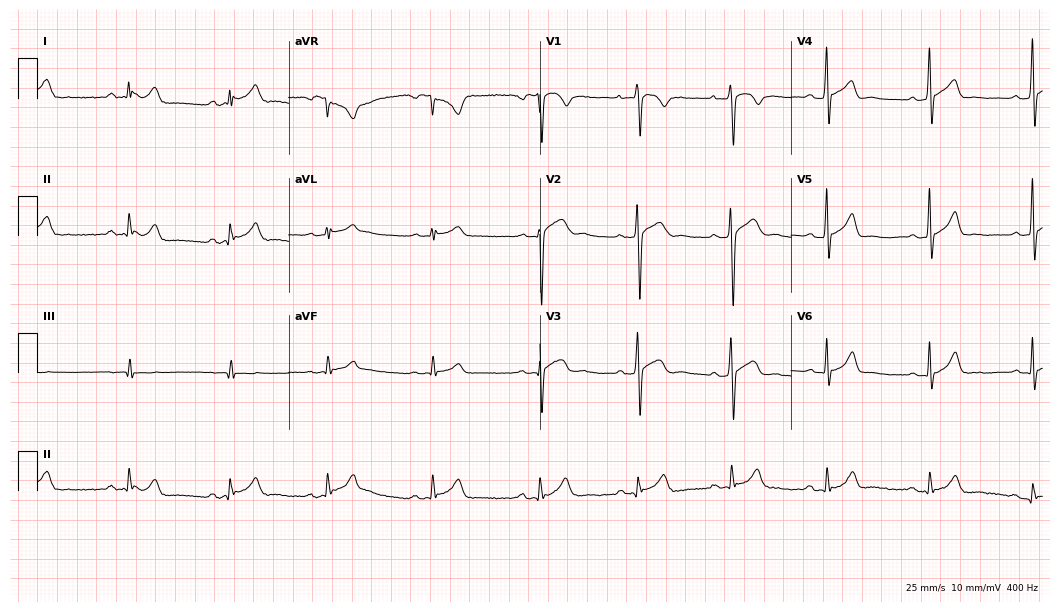
12-lead ECG from a male patient, 25 years old. Labelled as a normal ECG.